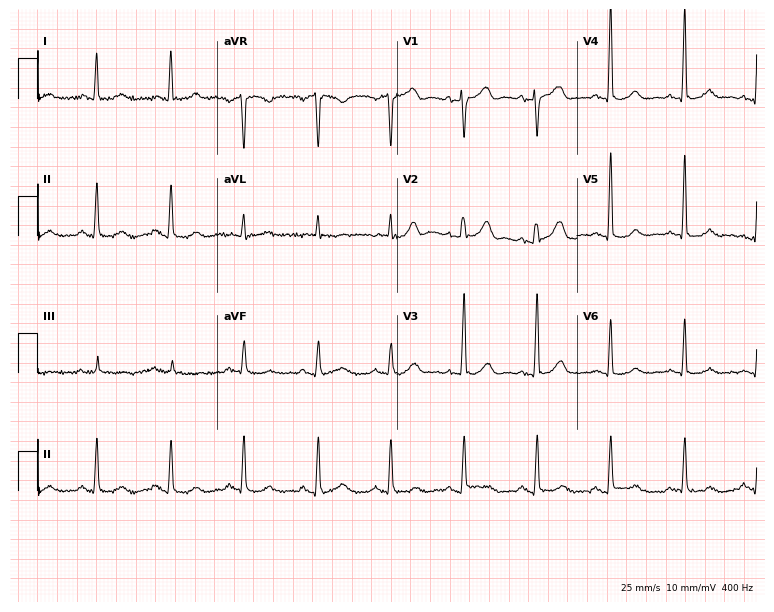
ECG — an 81-year-old male patient. Screened for six findings — first-degree AV block, right bundle branch block, left bundle branch block, sinus bradycardia, atrial fibrillation, sinus tachycardia — none is recorded. Only these six findings were labelled.